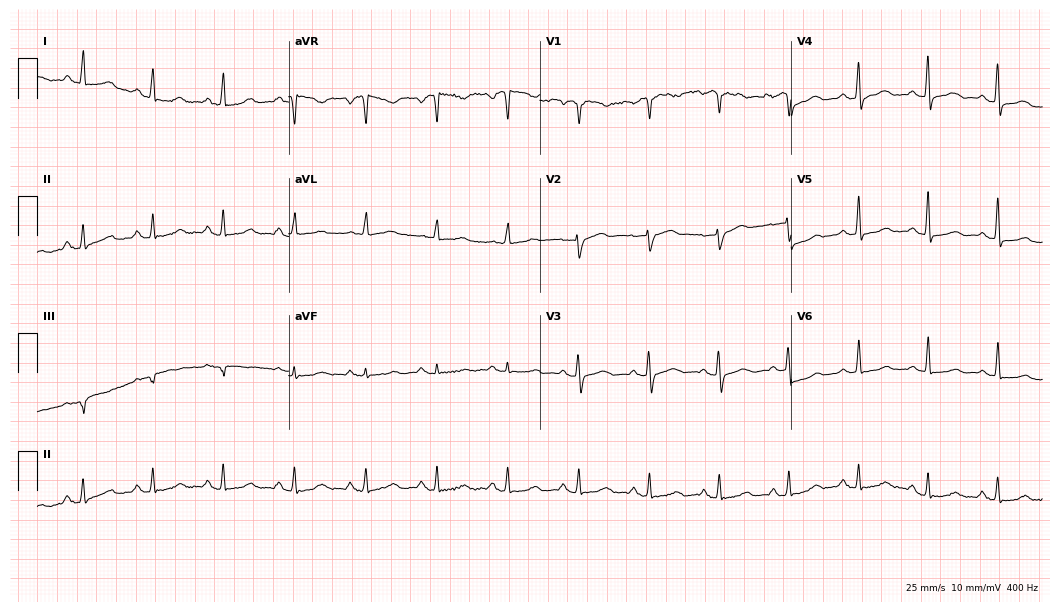
Electrocardiogram (10.2-second recording at 400 Hz), a 53-year-old female. Overall reading on record: normal ECG.